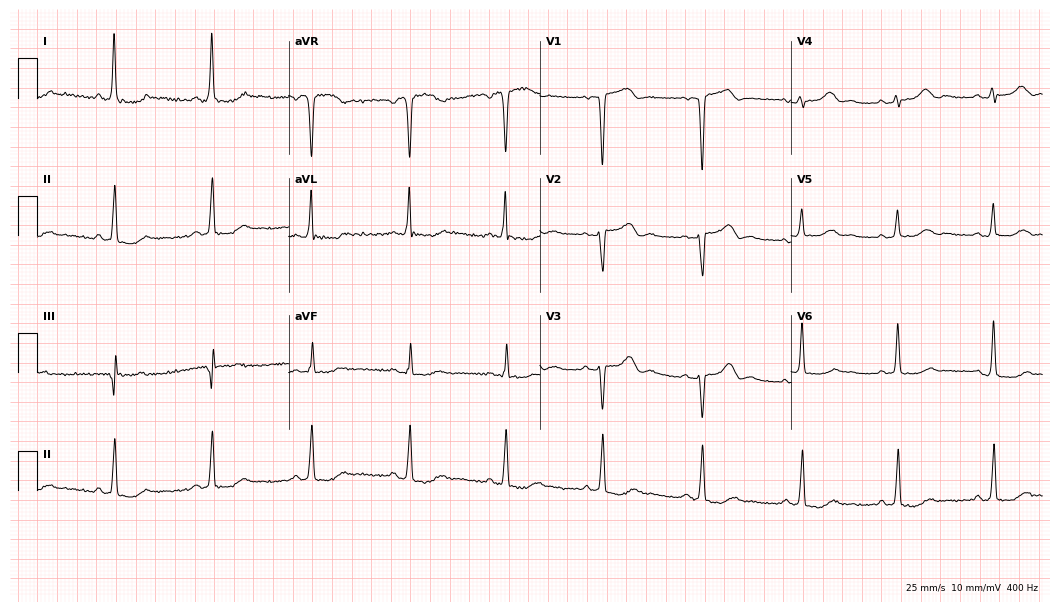
Resting 12-lead electrocardiogram. Patient: a 67-year-old woman. None of these six findings is recorded: first-degree AV block, right bundle branch block, left bundle branch block, sinus bradycardia, atrial fibrillation, sinus tachycardia.